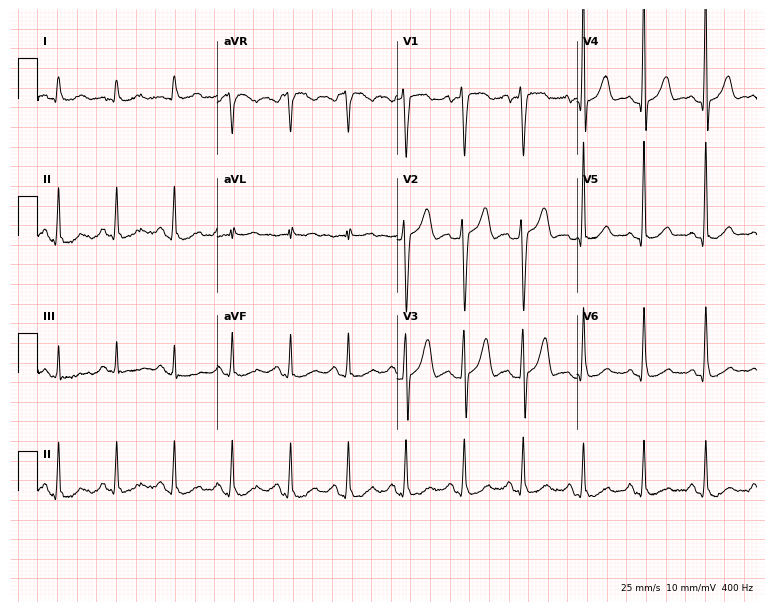
Resting 12-lead electrocardiogram (7.3-second recording at 400 Hz). Patient: a 35-year-old man. None of these six findings is recorded: first-degree AV block, right bundle branch block, left bundle branch block, sinus bradycardia, atrial fibrillation, sinus tachycardia.